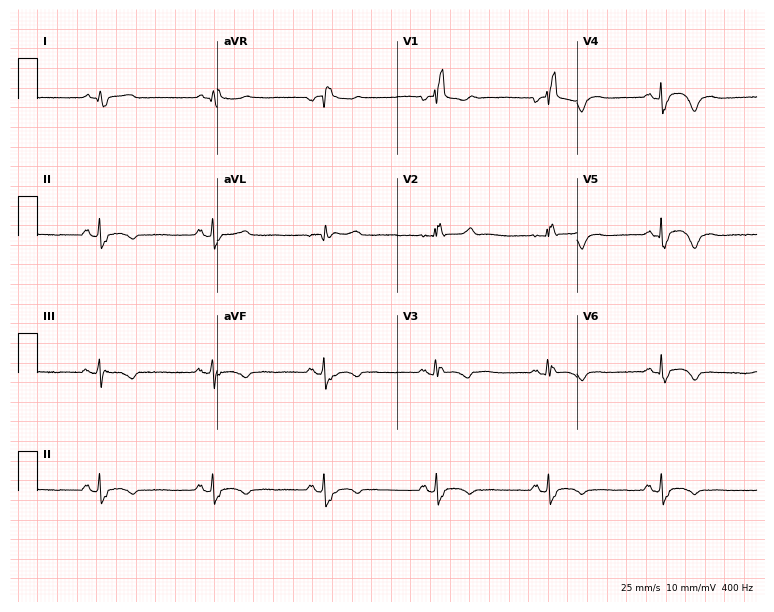
12-lead ECG from a female, 58 years old (7.3-second recording at 400 Hz). Shows right bundle branch block.